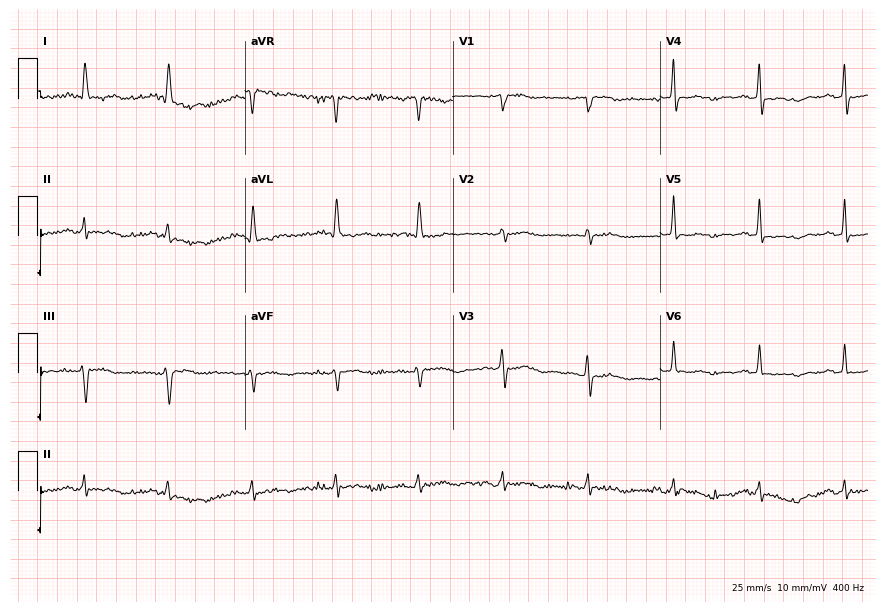
Standard 12-lead ECG recorded from a female, 78 years old. None of these six findings is recorded: first-degree AV block, right bundle branch block (RBBB), left bundle branch block (LBBB), sinus bradycardia, atrial fibrillation (AF), sinus tachycardia. Other findings, if any, are not listed.